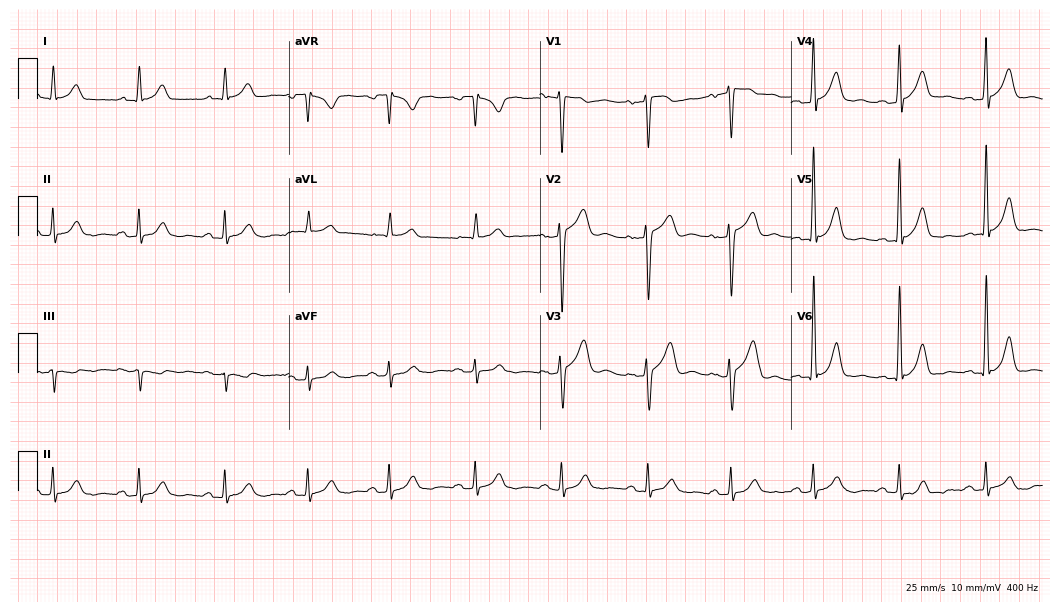
12-lead ECG from a man, 48 years old. Recorded interpretation: within normal limits.